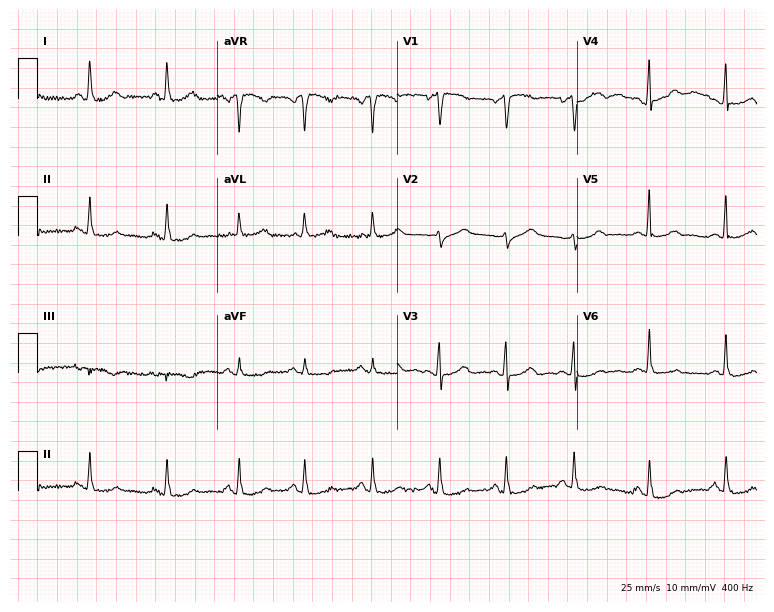
Electrocardiogram (7.3-second recording at 400 Hz), a 57-year-old woman. Overall reading on record: normal ECG.